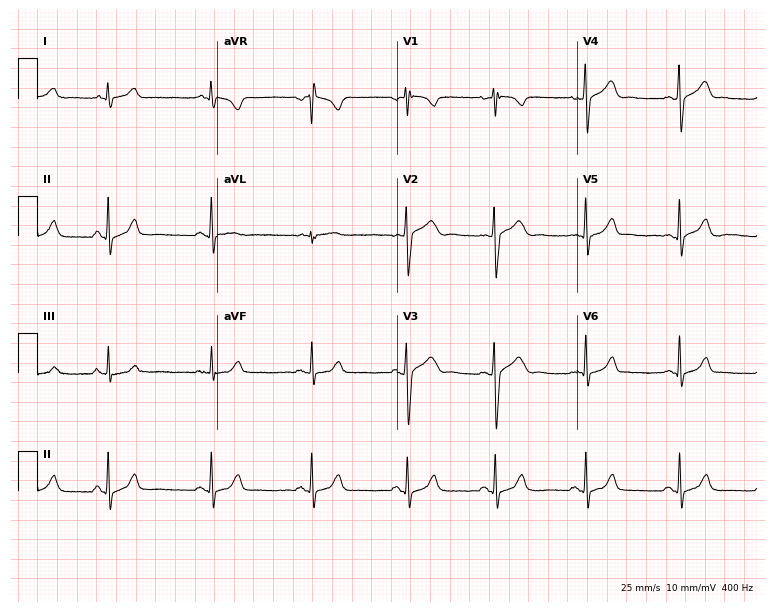
12-lead ECG (7.3-second recording at 400 Hz) from a female patient, 21 years old. Labelled as a normal ECG.